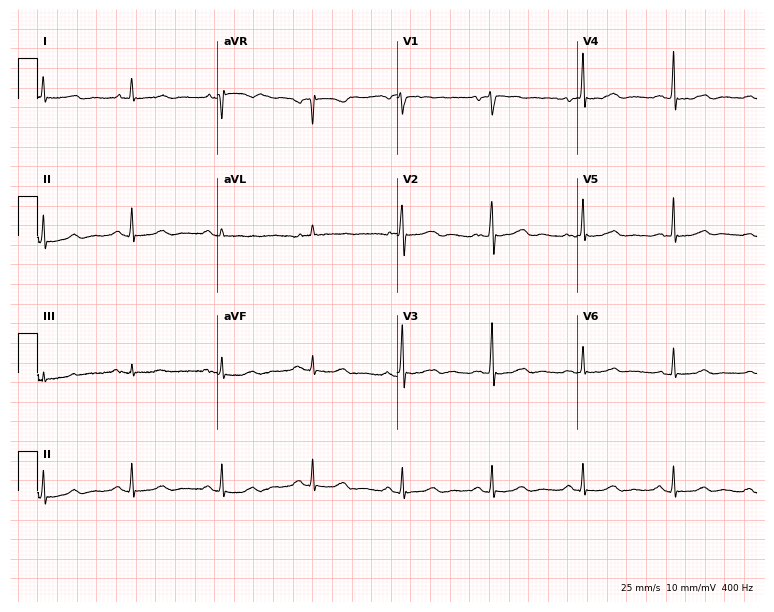
ECG — a woman, 69 years old. Labelled as a normal ECG.